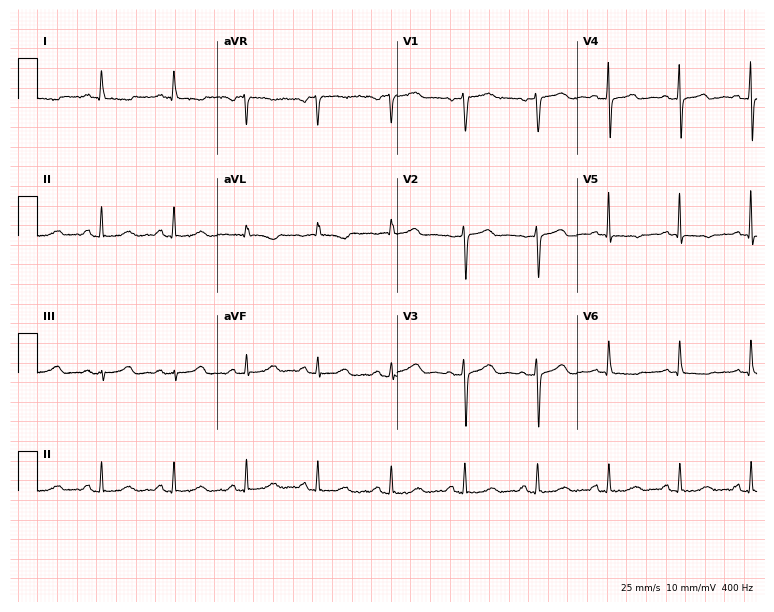
12-lead ECG from a 57-year-old woman. Screened for six findings — first-degree AV block, right bundle branch block (RBBB), left bundle branch block (LBBB), sinus bradycardia, atrial fibrillation (AF), sinus tachycardia — none is recorded.